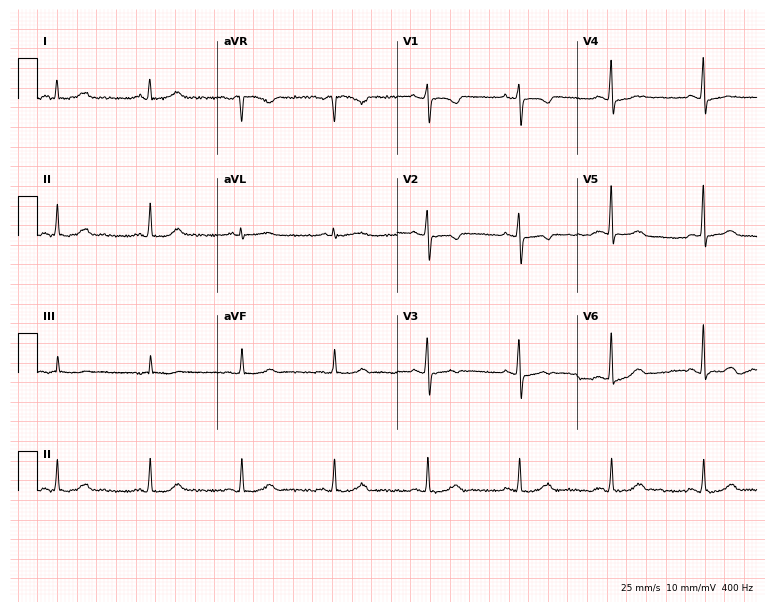
Electrocardiogram (7.3-second recording at 400 Hz), a woman, 58 years old. Of the six screened findings (first-degree AV block, right bundle branch block, left bundle branch block, sinus bradycardia, atrial fibrillation, sinus tachycardia), none is recorded.